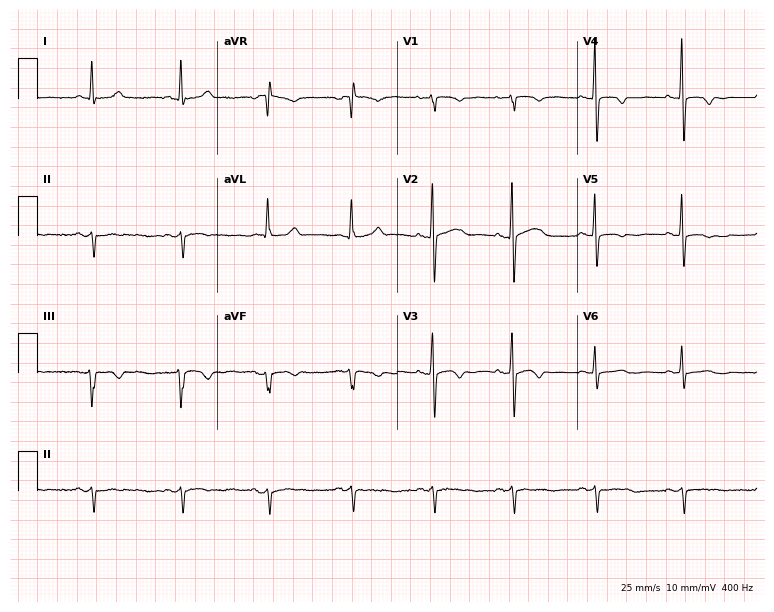
Resting 12-lead electrocardiogram. Patient: a female, 56 years old. None of these six findings is recorded: first-degree AV block, right bundle branch block, left bundle branch block, sinus bradycardia, atrial fibrillation, sinus tachycardia. Findings outside these six are not listed.